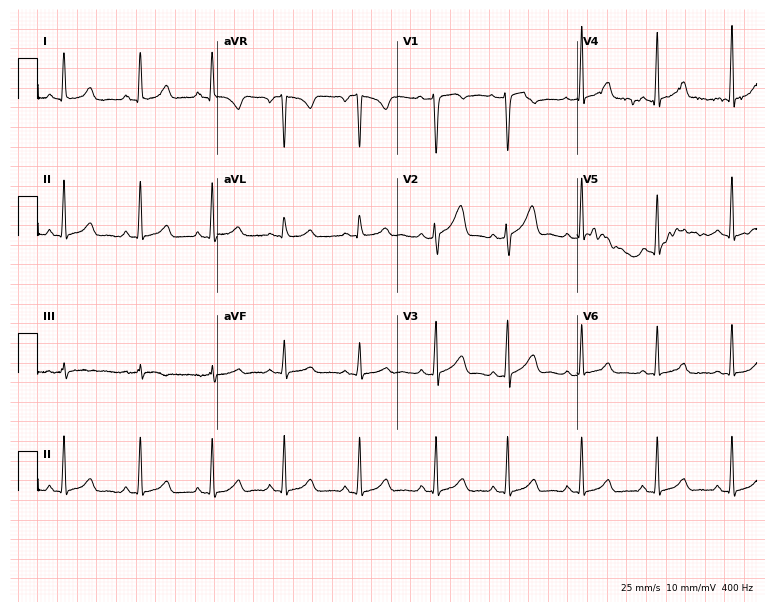
Electrocardiogram (7.3-second recording at 400 Hz), a 30-year-old woman. Overall reading on record: normal ECG.